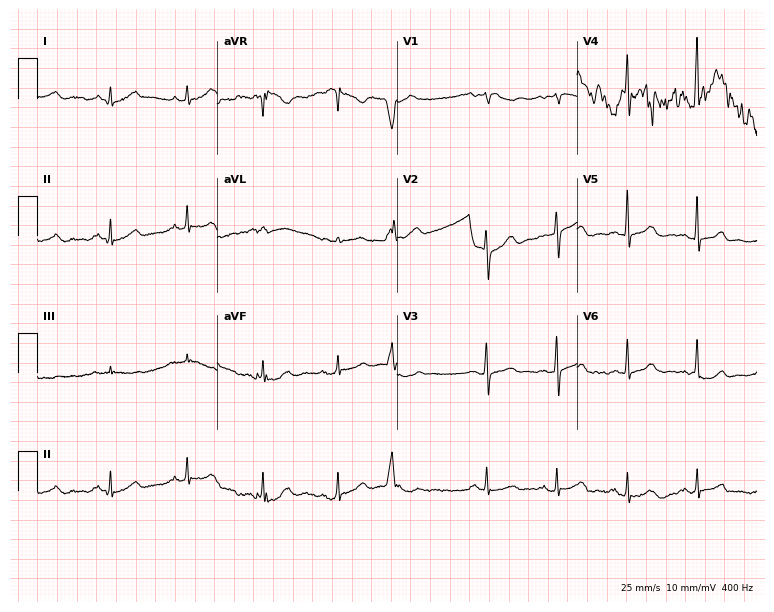
Electrocardiogram, a female, 68 years old. Of the six screened findings (first-degree AV block, right bundle branch block, left bundle branch block, sinus bradycardia, atrial fibrillation, sinus tachycardia), none is recorded.